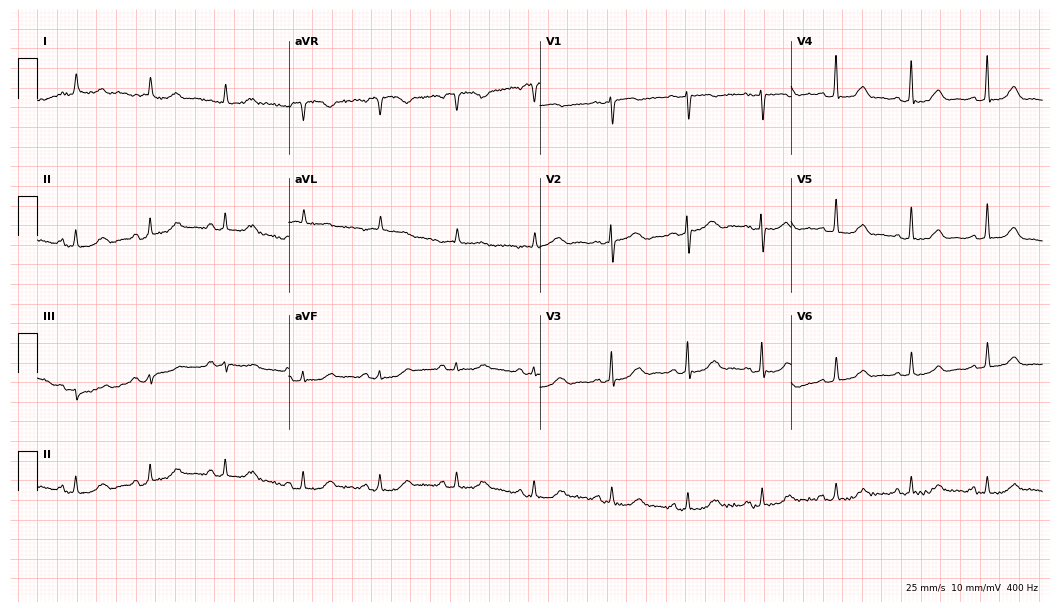
Electrocardiogram, a female, 70 years old. Overall reading on record: normal ECG.